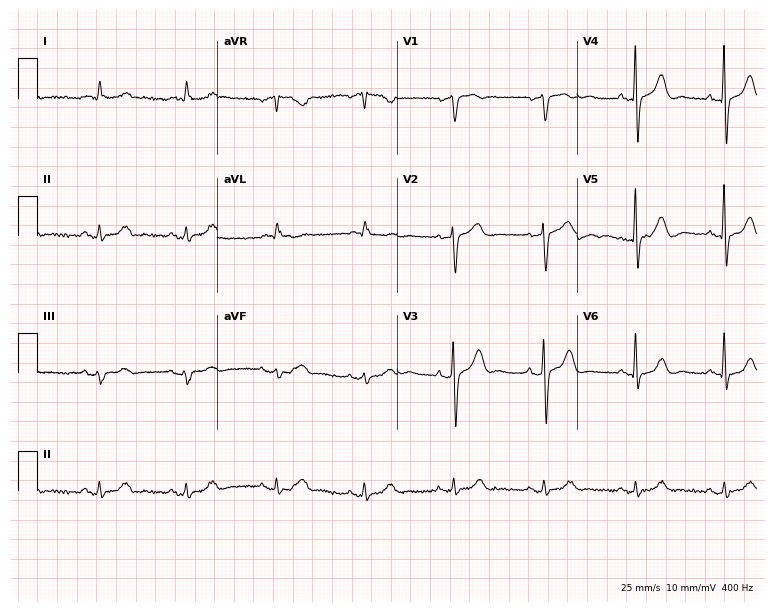
12-lead ECG (7.3-second recording at 400 Hz) from a female, 74 years old. Screened for six findings — first-degree AV block, right bundle branch block, left bundle branch block, sinus bradycardia, atrial fibrillation, sinus tachycardia — none is recorded.